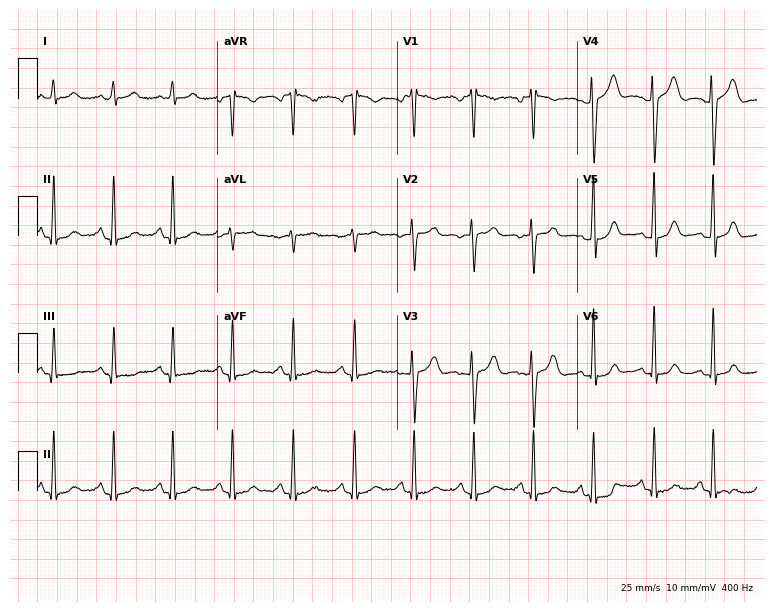
12-lead ECG (7.3-second recording at 400 Hz) from a 32-year-old female patient. Labelled as a normal ECG.